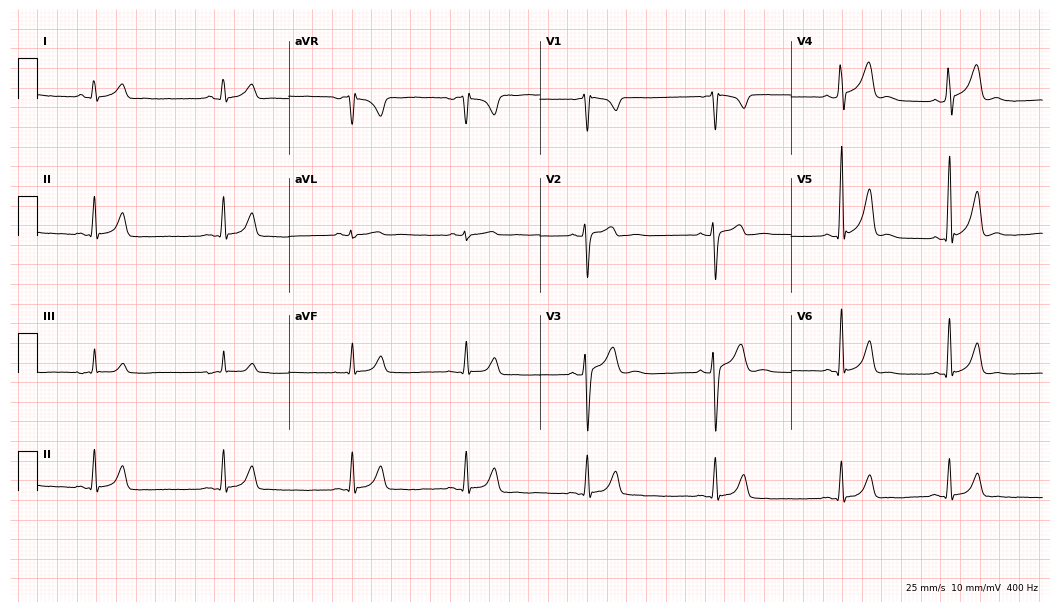
Resting 12-lead electrocardiogram (10.2-second recording at 400 Hz). Patient: a male, 26 years old. Read as a normal ECG.